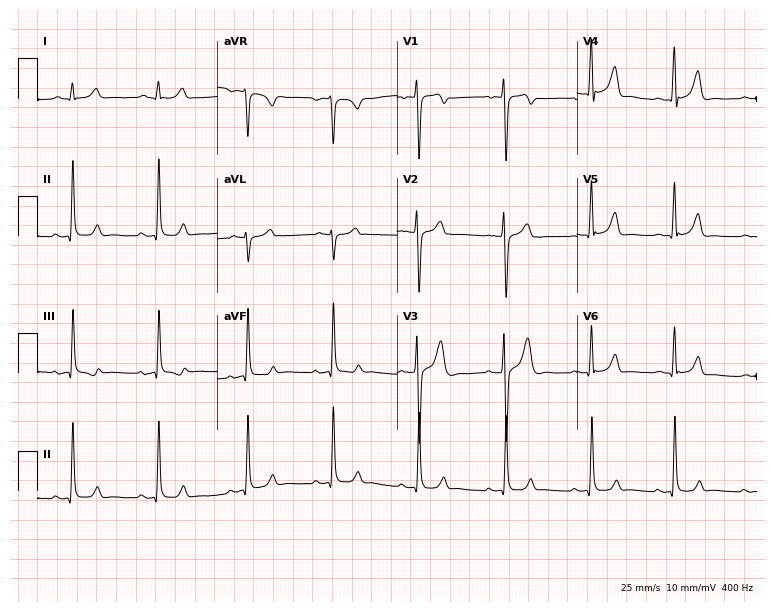
12-lead ECG from a man, 21 years old (7.3-second recording at 400 Hz). No first-degree AV block, right bundle branch block (RBBB), left bundle branch block (LBBB), sinus bradycardia, atrial fibrillation (AF) or sinus tachycardia recorded for this tracing. Only these six findings were labelled.